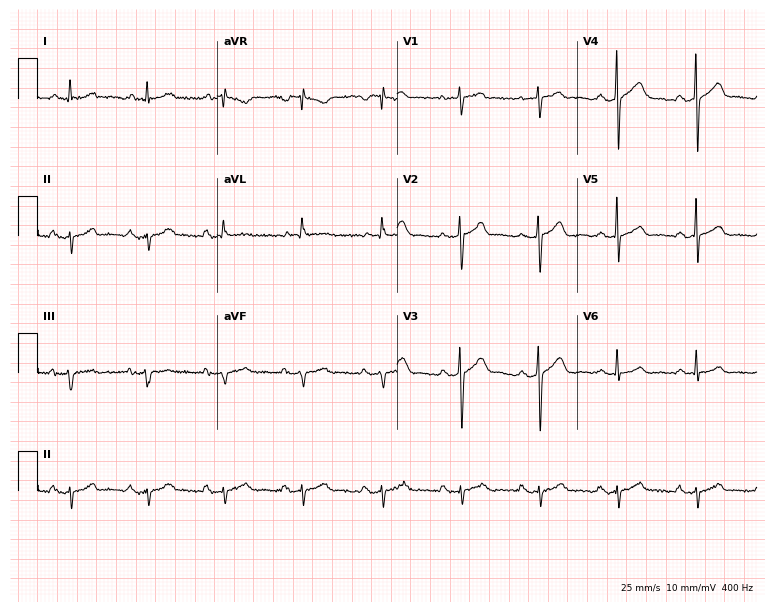
Electrocardiogram, a 62-year-old male patient. Of the six screened findings (first-degree AV block, right bundle branch block (RBBB), left bundle branch block (LBBB), sinus bradycardia, atrial fibrillation (AF), sinus tachycardia), none is recorded.